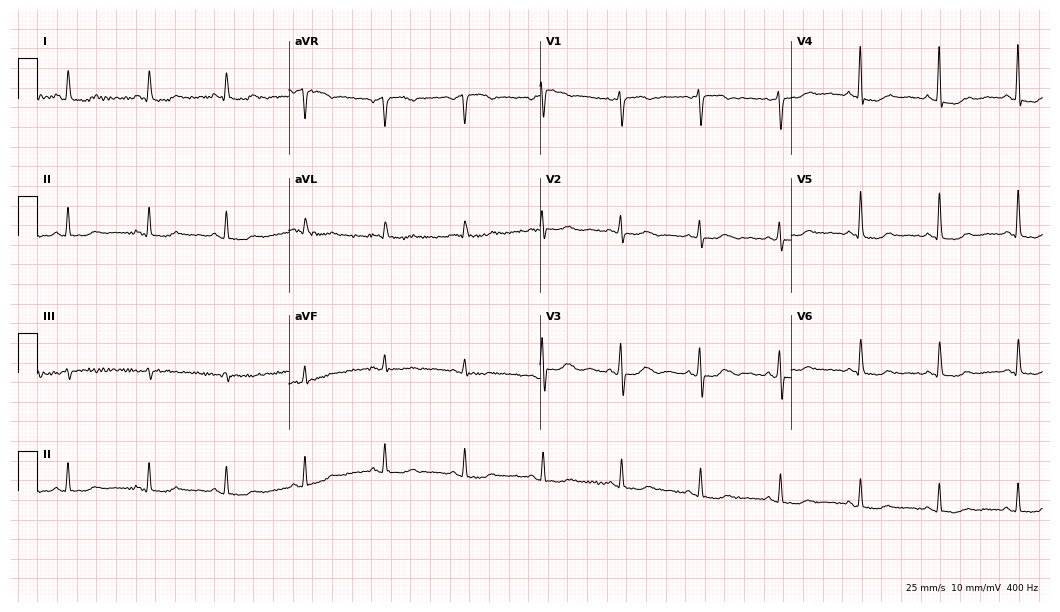
Standard 12-lead ECG recorded from a 48-year-old female patient. None of these six findings is recorded: first-degree AV block, right bundle branch block, left bundle branch block, sinus bradycardia, atrial fibrillation, sinus tachycardia. Only these six findings were labelled.